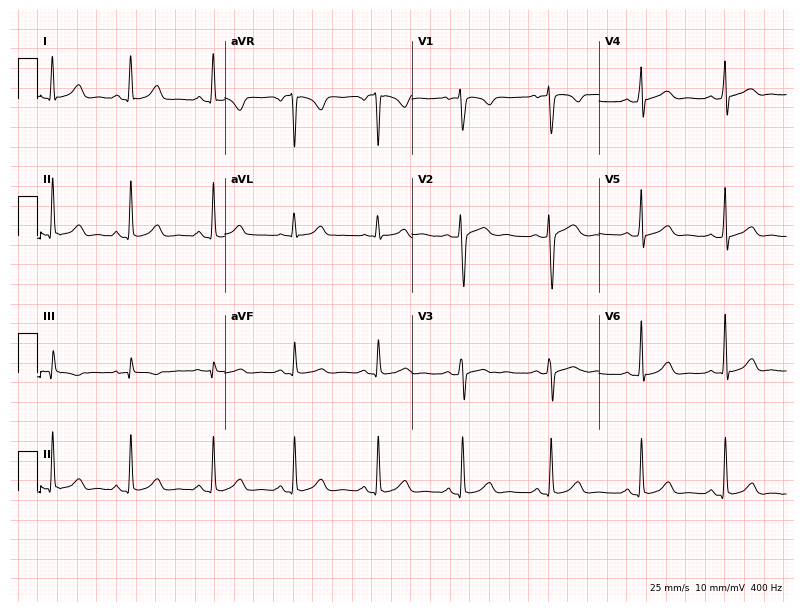
Resting 12-lead electrocardiogram. Patient: a 24-year-old female. Read as a normal ECG.